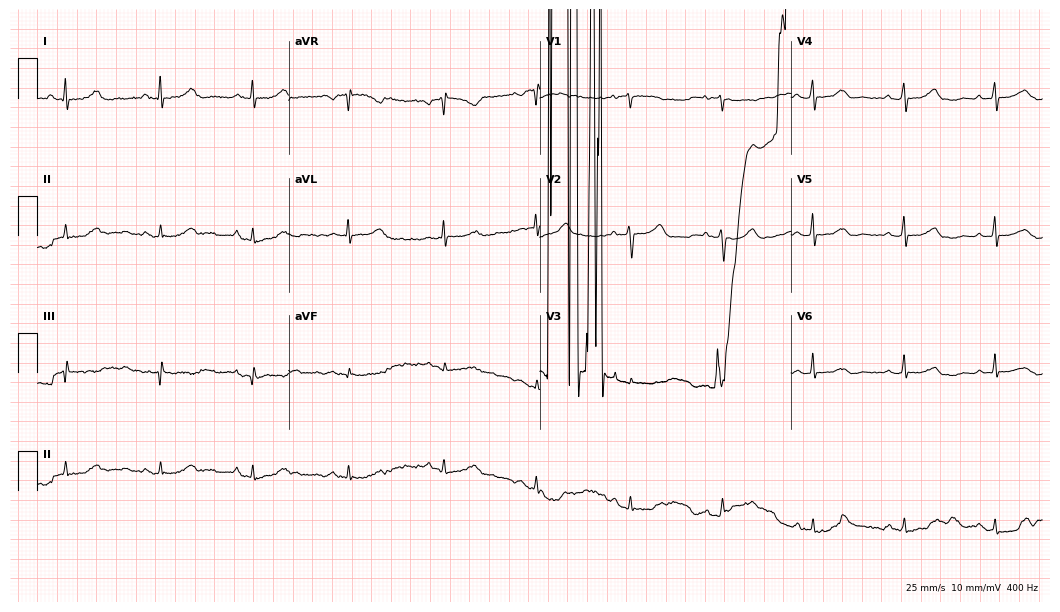
Standard 12-lead ECG recorded from a 56-year-old woman (10.2-second recording at 400 Hz). None of these six findings is recorded: first-degree AV block, right bundle branch block, left bundle branch block, sinus bradycardia, atrial fibrillation, sinus tachycardia. Findings outside these six are not listed.